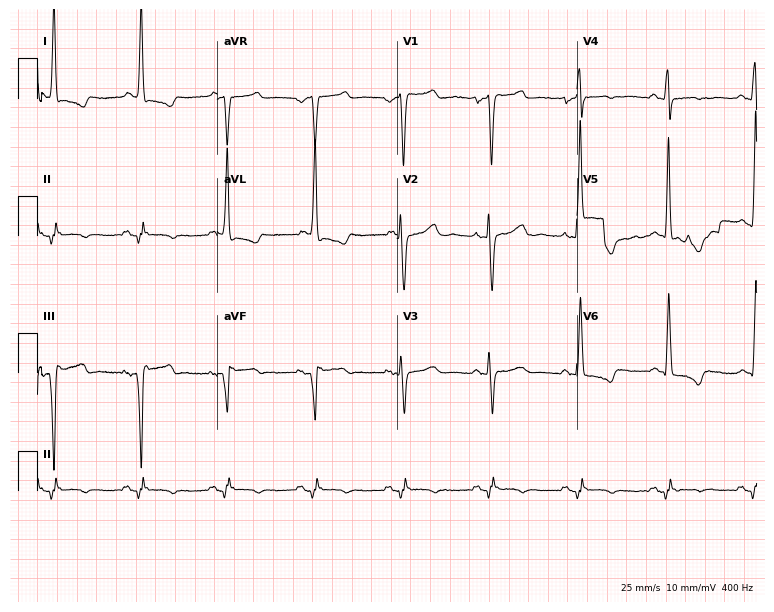
ECG (7.3-second recording at 400 Hz) — a 62-year-old female patient. Screened for six findings — first-degree AV block, right bundle branch block (RBBB), left bundle branch block (LBBB), sinus bradycardia, atrial fibrillation (AF), sinus tachycardia — none is recorded. Other findings, if any, are not listed.